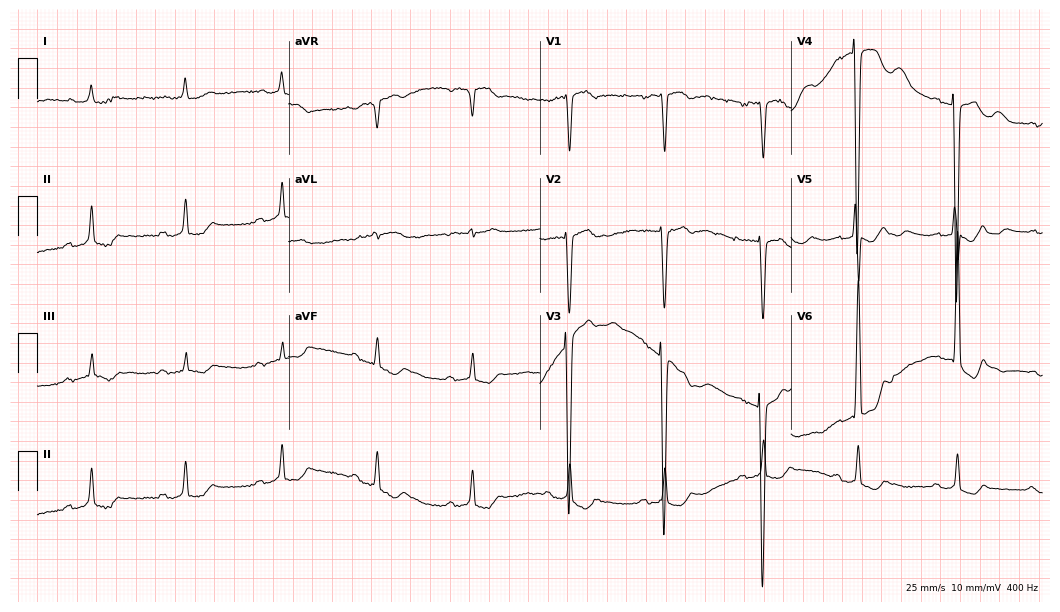
Resting 12-lead electrocardiogram (10.2-second recording at 400 Hz). Patient: a female, 79 years old. None of these six findings is recorded: first-degree AV block, right bundle branch block, left bundle branch block, sinus bradycardia, atrial fibrillation, sinus tachycardia. Findings outside these six are not listed.